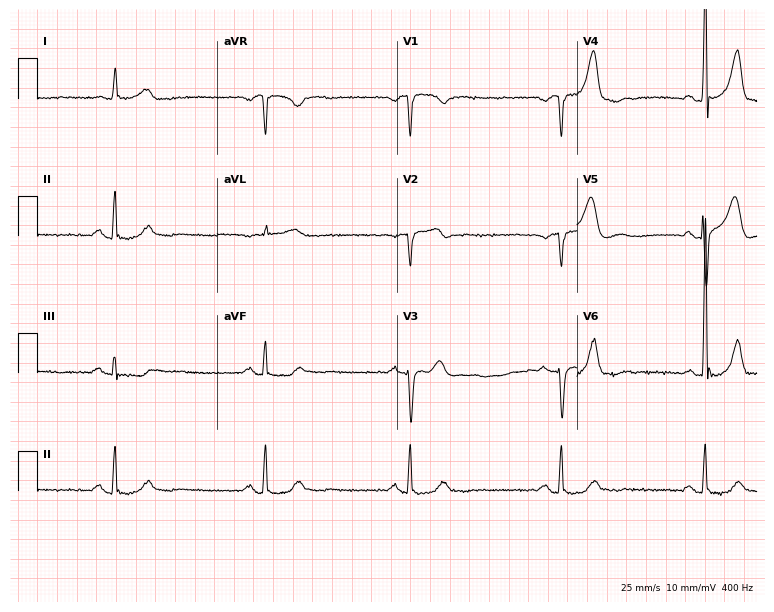
12-lead ECG from a 63-year-old male patient (7.3-second recording at 400 Hz). Shows sinus bradycardia (a sinus rate of 50 beats per minute or less).